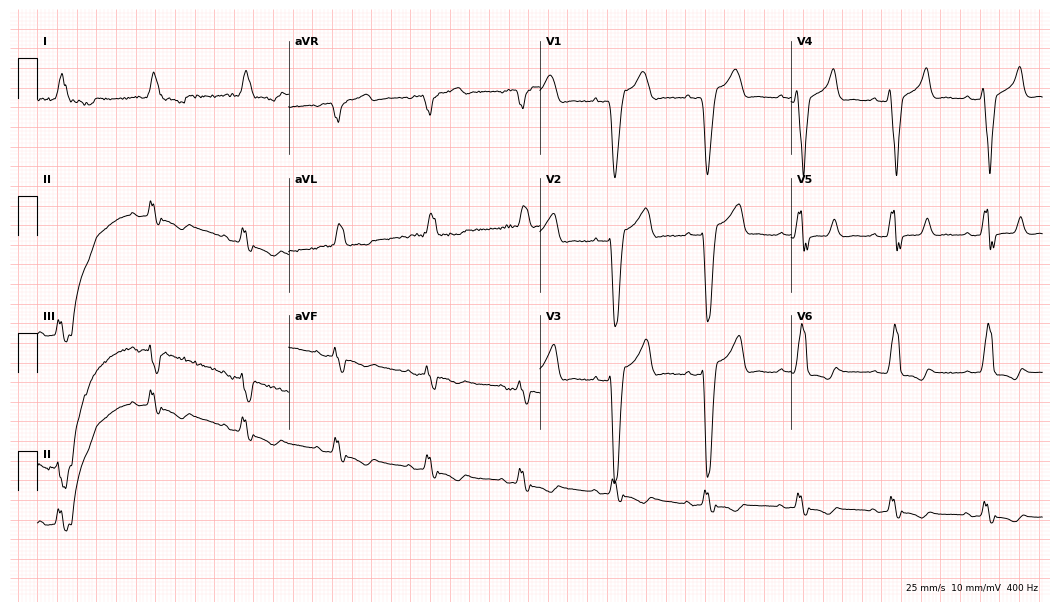
ECG — a male, 82 years old. Findings include left bundle branch block.